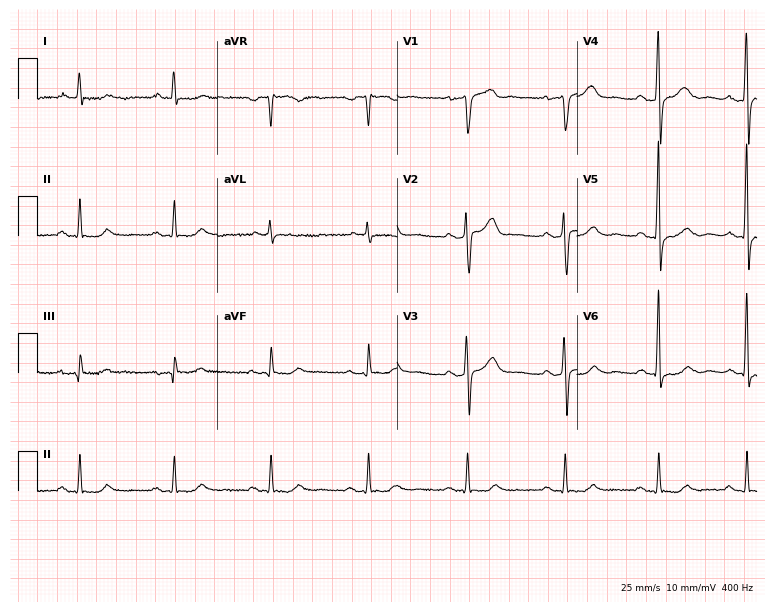
Electrocardiogram (7.3-second recording at 400 Hz), a male, 68 years old. Of the six screened findings (first-degree AV block, right bundle branch block (RBBB), left bundle branch block (LBBB), sinus bradycardia, atrial fibrillation (AF), sinus tachycardia), none is recorded.